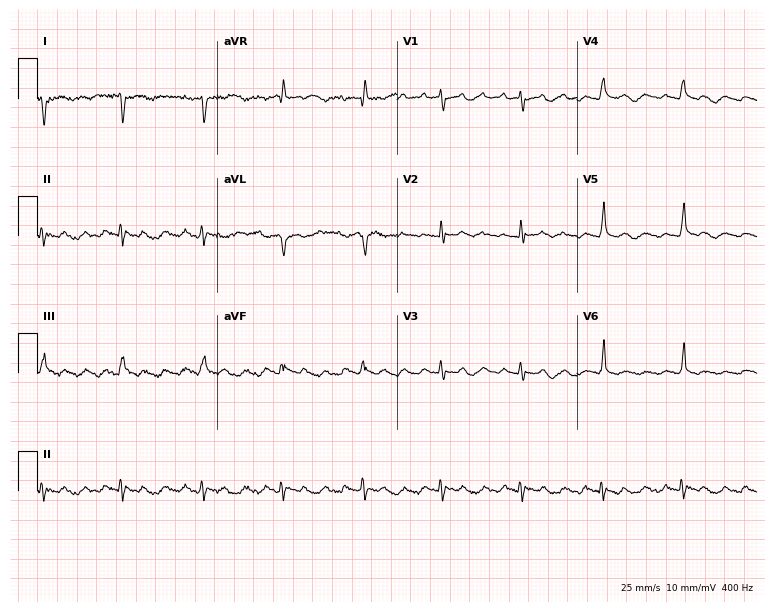
Electrocardiogram, a 28-year-old woman. Of the six screened findings (first-degree AV block, right bundle branch block (RBBB), left bundle branch block (LBBB), sinus bradycardia, atrial fibrillation (AF), sinus tachycardia), none is recorded.